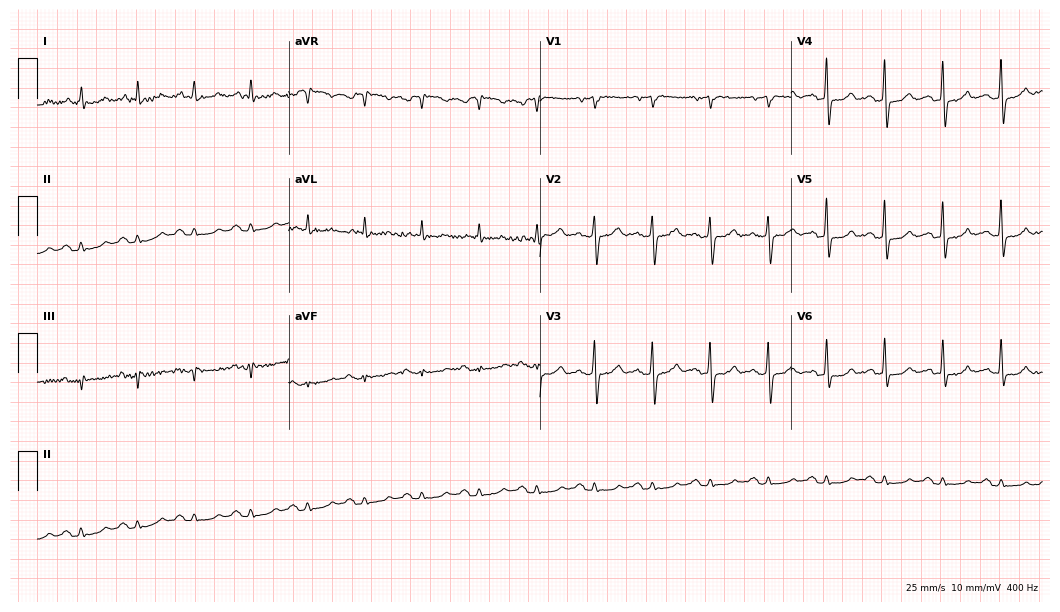
Standard 12-lead ECG recorded from a 78-year-old male. None of these six findings is recorded: first-degree AV block, right bundle branch block, left bundle branch block, sinus bradycardia, atrial fibrillation, sinus tachycardia. Other findings, if any, are not listed.